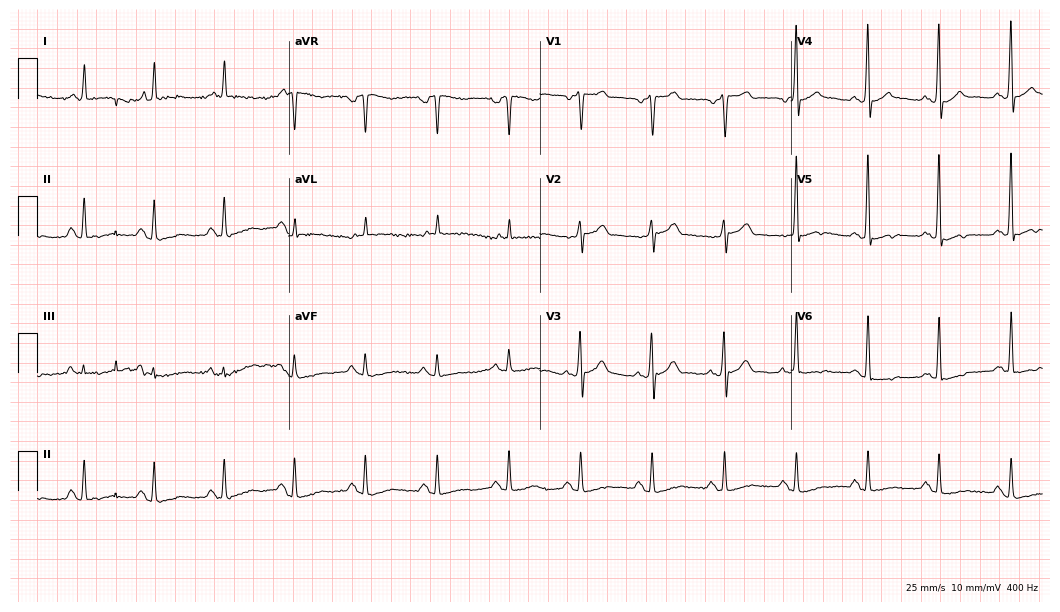
Electrocardiogram (10.2-second recording at 400 Hz), a man, 74 years old. Of the six screened findings (first-degree AV block, right bundle branch block, left bundle branch block, sinus bradycardia, atrial fibrillation, sinus tachycardia), none is recorded.